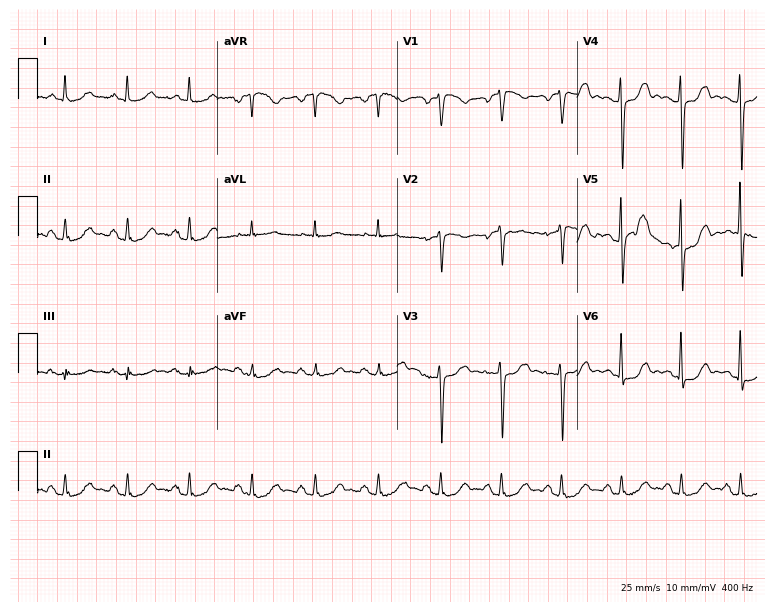
Electrocardiogram (7.3-second recording at 400 Hz), a woman, 76 years old. Of the six screened findings (first-degree AV block, right bundle branch block (RBBB), left bundle branch block (LBBB), sinus bradycardia, atrial fibrillation (AF), sinus tachycardia), none is recorded.